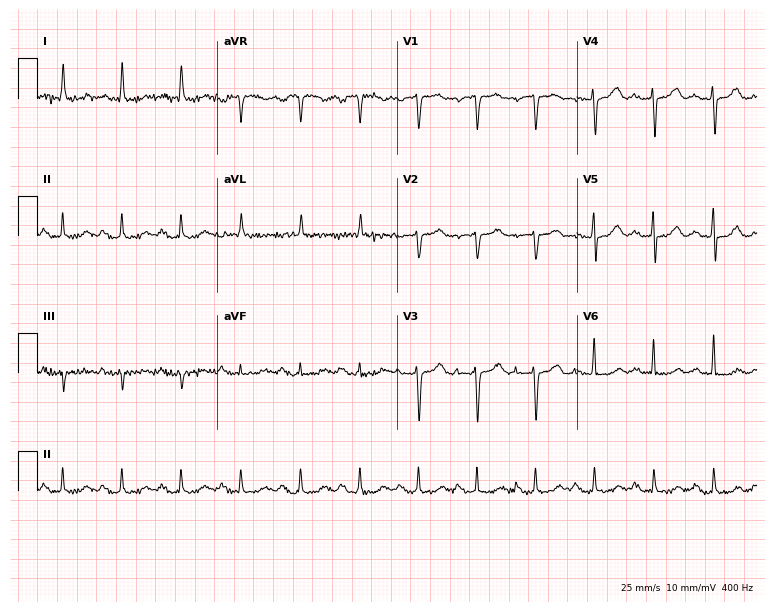
12-lead ECG from a 77-year-old woman (7.3-second recording at 400 Hz). Recorded interpretation: within normal limits.